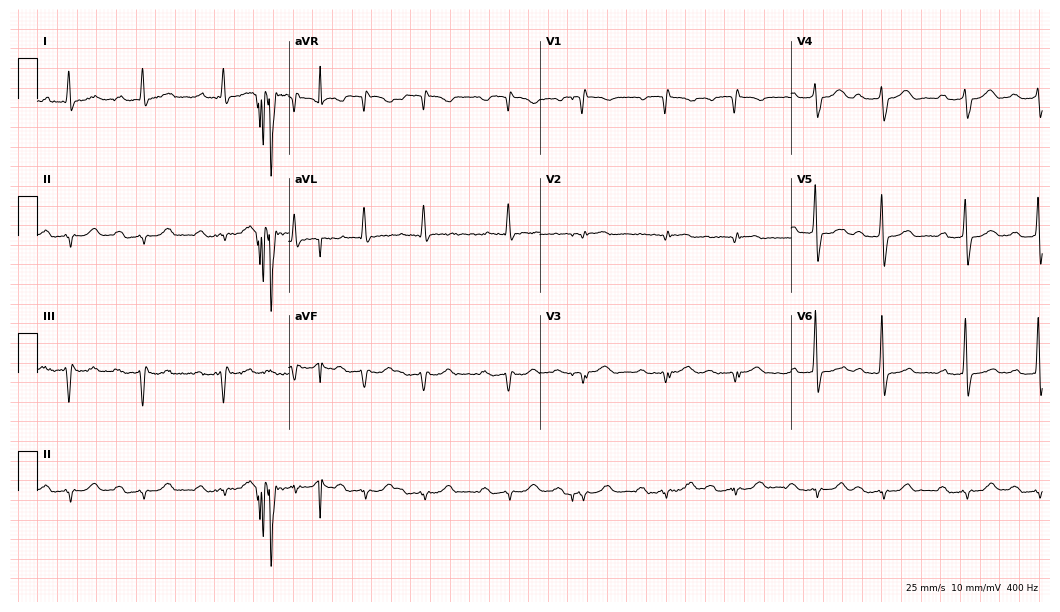
Resting 12-lead electrocardiogram. Patient: an 85-year-old male. The tracing shows first-degree AV block.